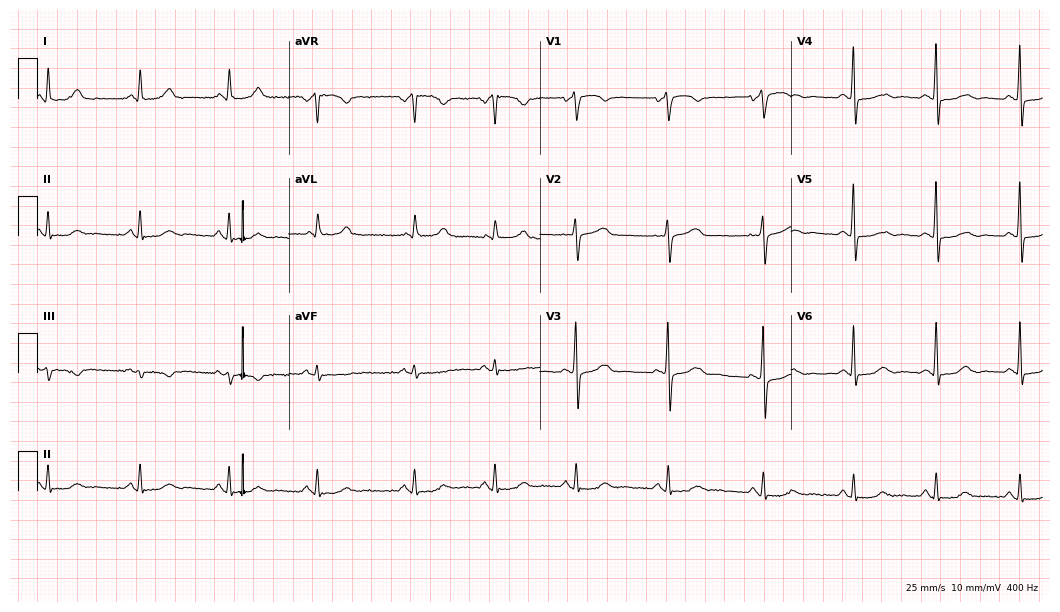
ECG — a 64-year-old woman. Screened for six findings — first-degree AV block, right bundle branch block, left bundle branch block, sinus bradycardia, atrial fibrillation, sinus tachycardia — none is recorded. Only these six findings were labelled.